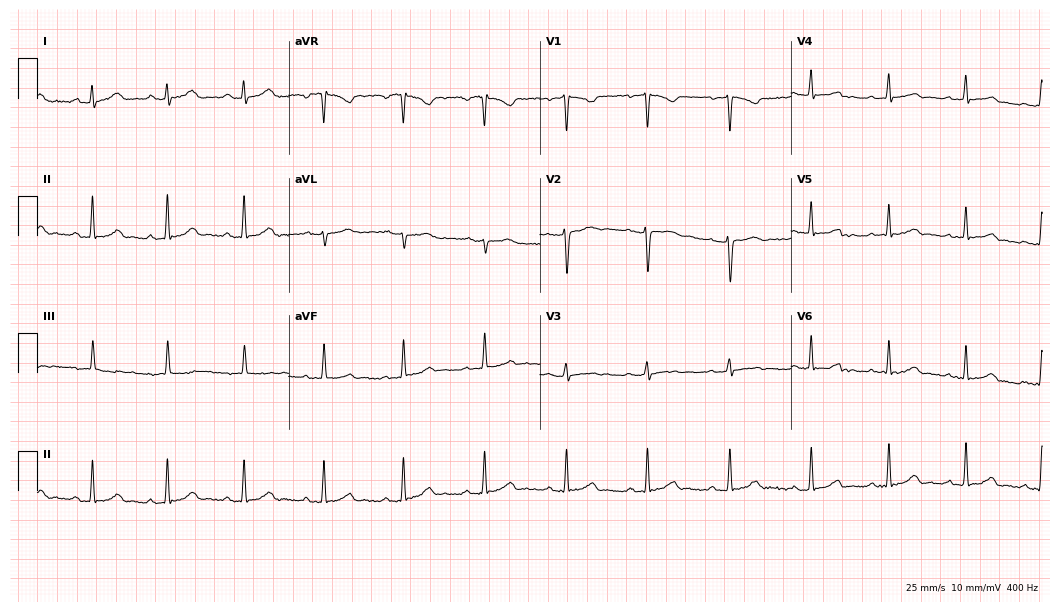
Standard 12-lead ECG recorded from a female patient, 22 years old. Read as a normal ECG.